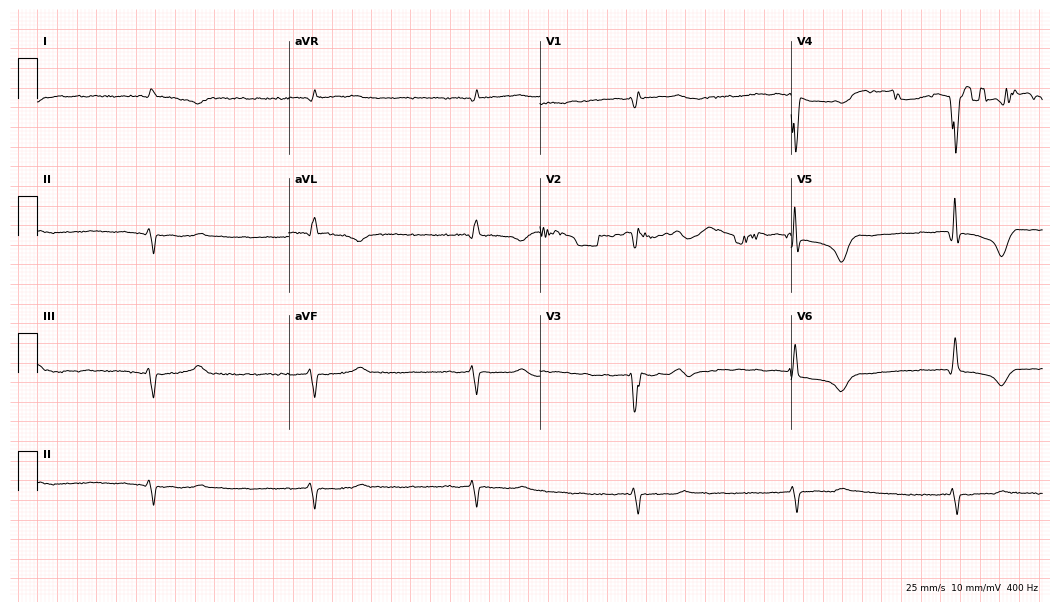
Standard 12-lead ECG recorded from a male, 71 years old. The tracing shows first-degree AV block, atrial fibrillation.